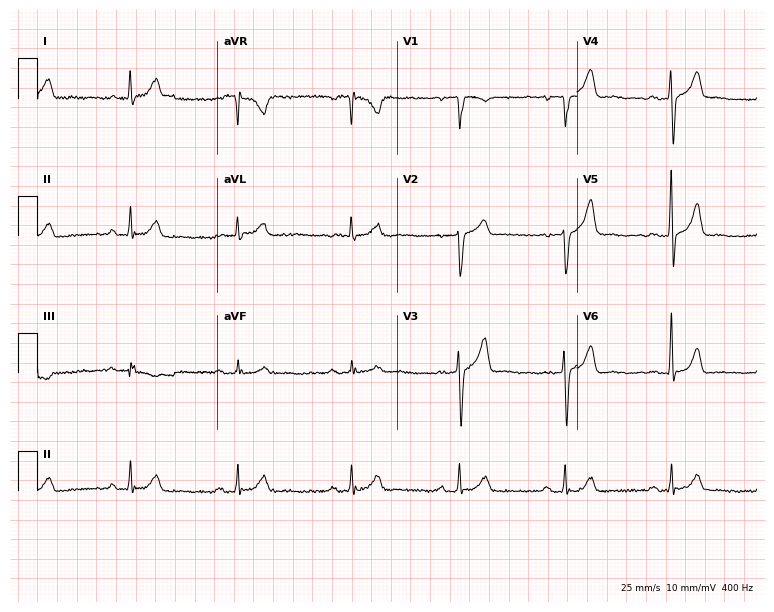
ECG (7.3-second recording at 400 Hz) — a 61-year-old man. Labelled as a normal ECG.